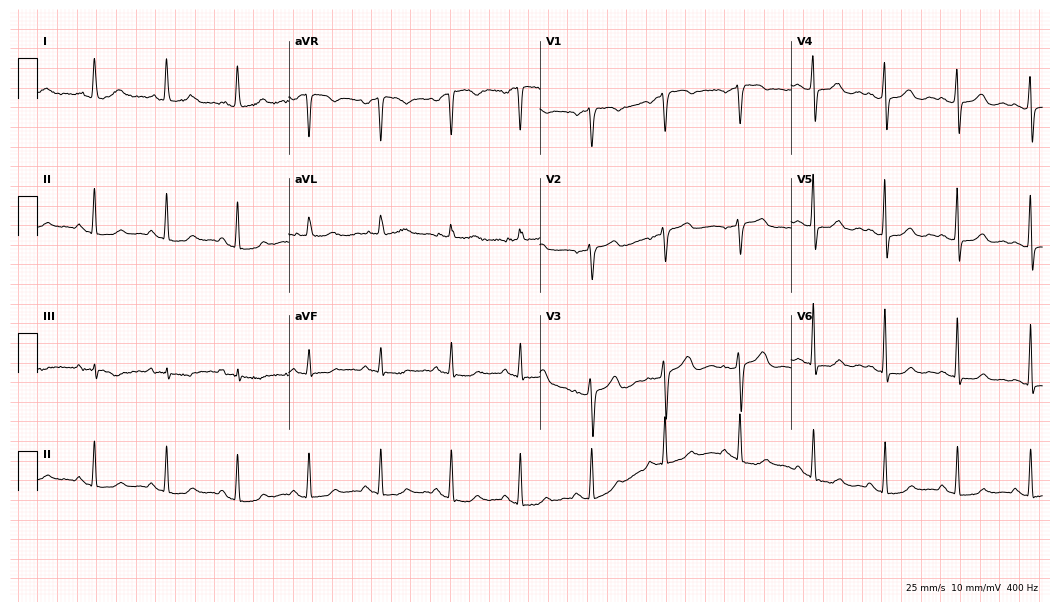
Electrocardiogram, a 46-year-old female patient. Of the six screened findings (first-degree AV block, right bundle branch block, left bundle branch block, sinus bradycardia, atrial fibrillation, sinus tachycardia), none is recorded.